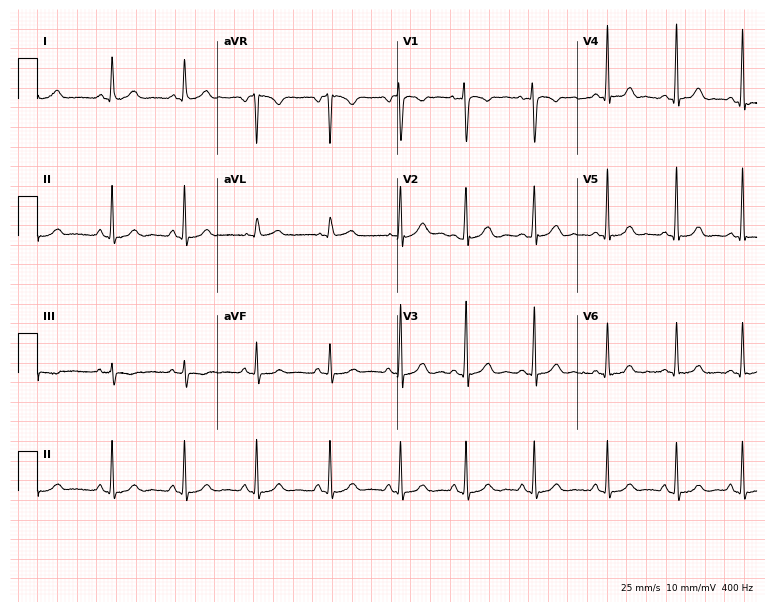
Standard 12-lead ECG recorded from a woman, 18 years old. Read as a normal ECG.